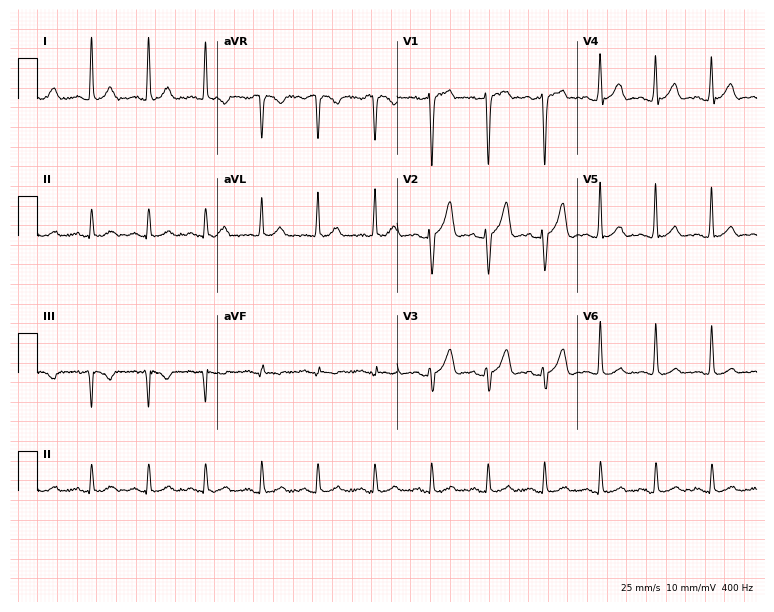
Standard 12-lead ECG recorded from a man, 41 years old. The tracing shows sinus tachycardia (a sinus rate of 100 beats per minute or more).